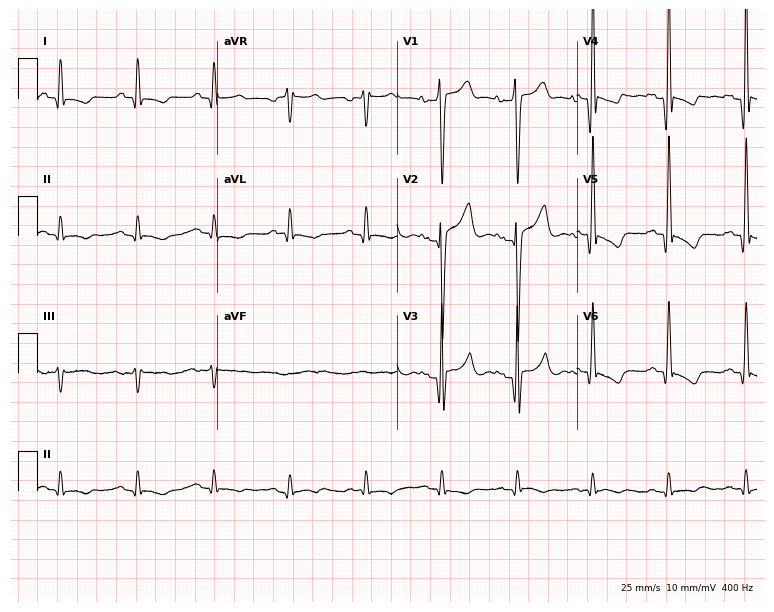
12-lead ECG from a 49-year-old male patient. Screened for six findings — first-degree AV block, right bundle branch block, left bundle branch block, sinus bradycardia, atrial fibrillation, sinus tachycardia — none is recorded. Only these six findings were labelled.